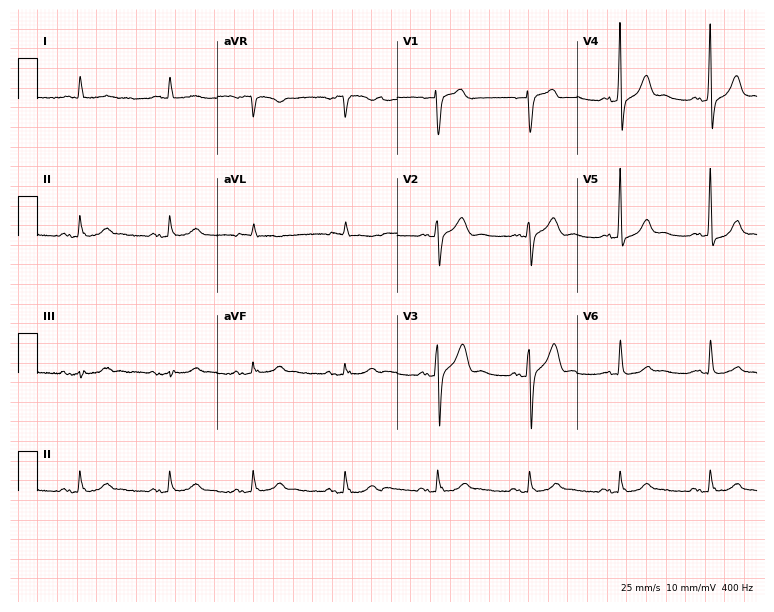
12-lead ECG from an 81-year-old male patient. Screened for six findings — first-degree AV block, right bundle branch block, left bundle branch block, sinus bradycardia, atrial fibrillation, sinus tachycardia — none is recorded. Only these six findings were labelled.